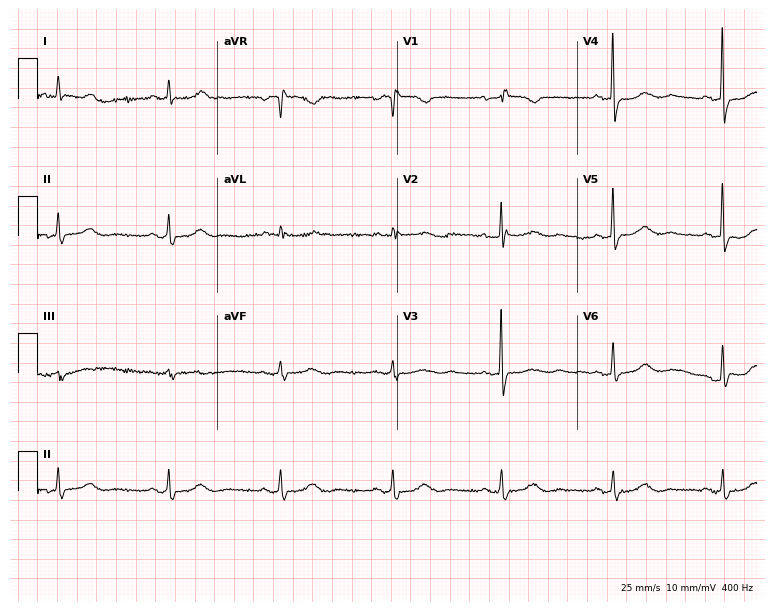
ECG — a 79-year-old woman. Labelled as a normal ECG.